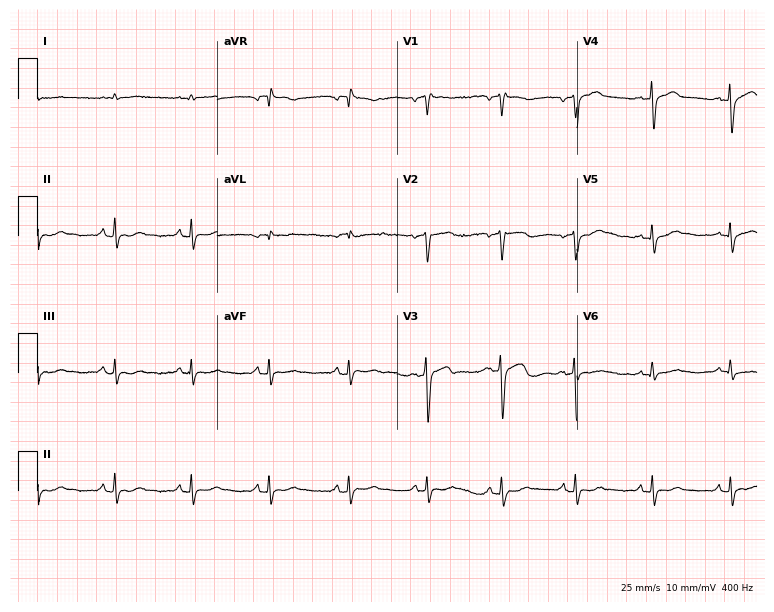
12-lead ECG from a 59-year-old man. Screened for six findings — first-degree AV block, right bundle branch block, left bundle branch block, sinus bradycardia, atrial fibrillation, sinus tachycardia — none is recorded. Only these six findings were labelled.